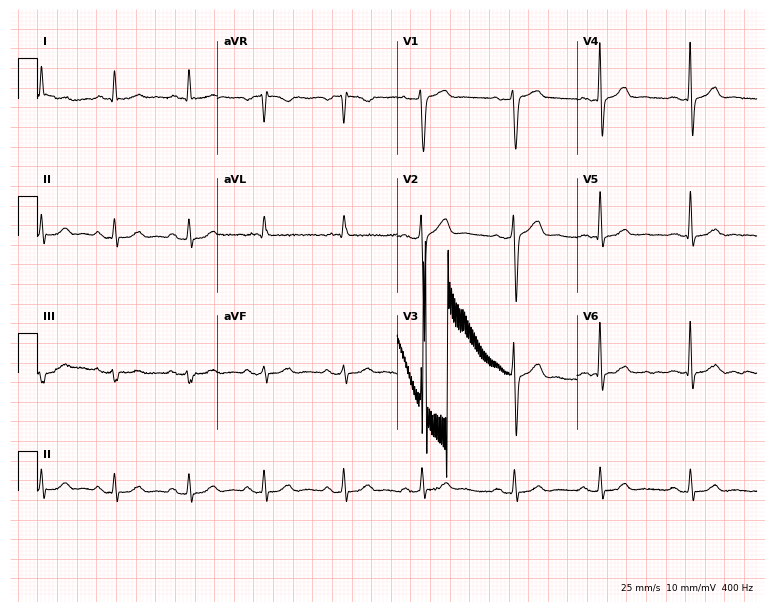
12-lead ECG from a 74-year-old male. Recorded interpretation: within normal limits.